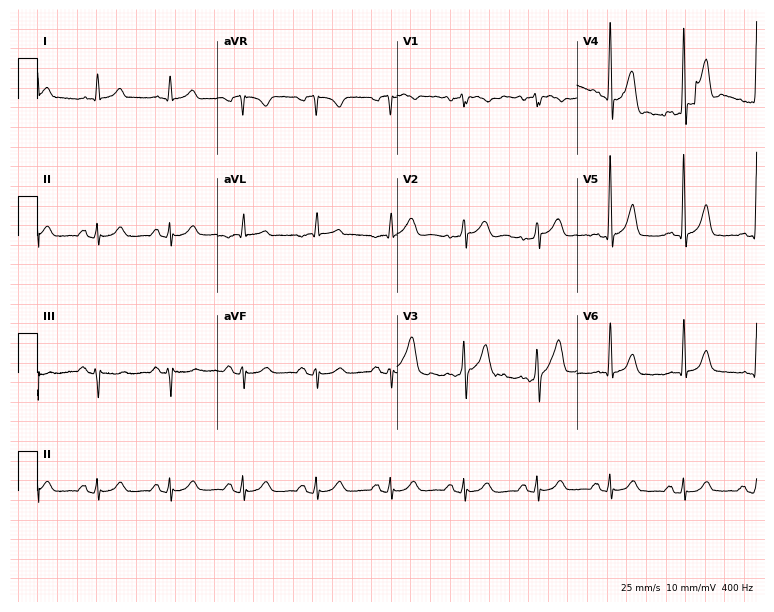
12-lead ECG from a male, 62 years old. Recorded interpretation: within normal limits.